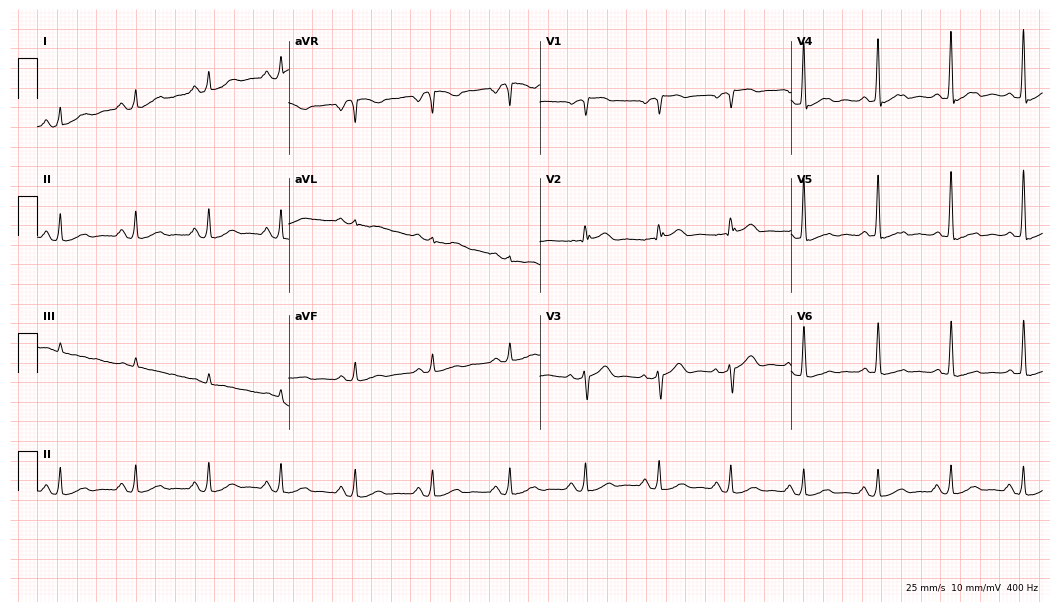
12-lead ECG (10.2-second recording at 400 Hz) from a 70-year-old man. Screened for six findings — first-degree AV block, right bundle branch block, left bundle branch block, sinus bradycardia, atrial fibrillation, sinus tachycardia — none is recorded. Only these six findings were labelled.